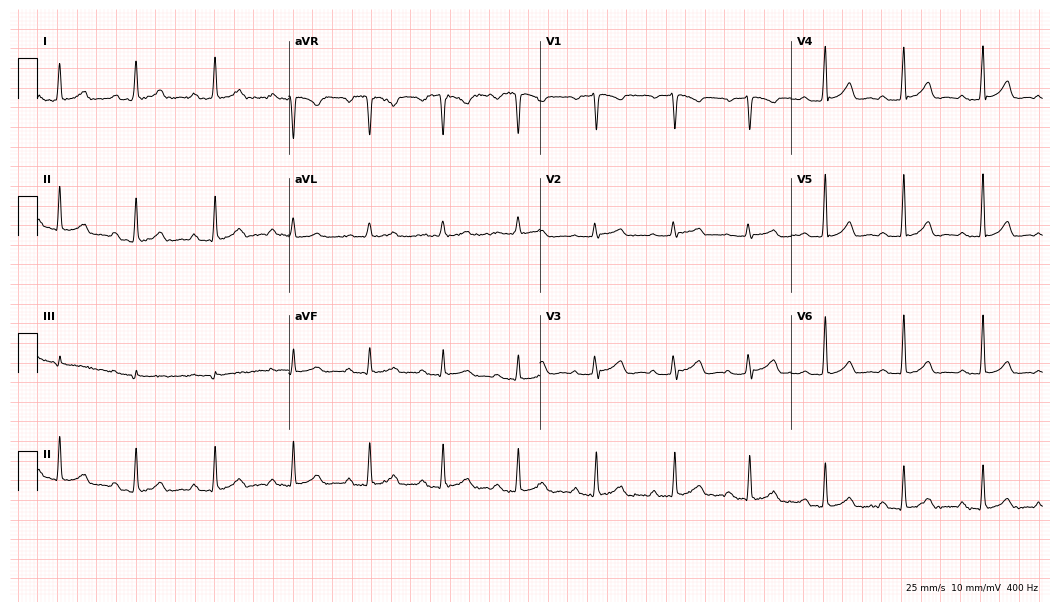
12-lead ECG from a 34-year-old female (10.2-second recording at 400 Hz). Shows first-degree AV block.